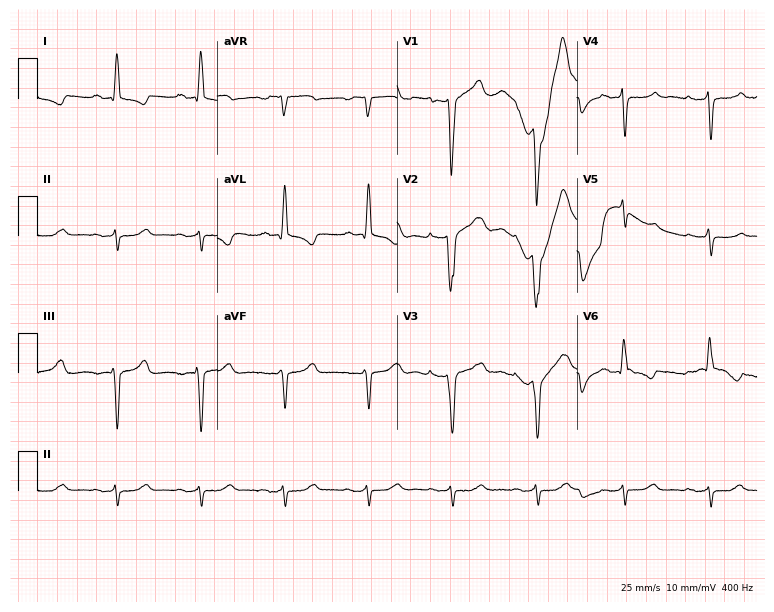
12-lead ECG from an 83-year-old male. No first-degree AV block, right bundle branch block (RBBB), left bundle branch block (LBBB), sinus bradycardia, atrial fibrillation (AF) or sinus tachycardia recorded for this tracing.